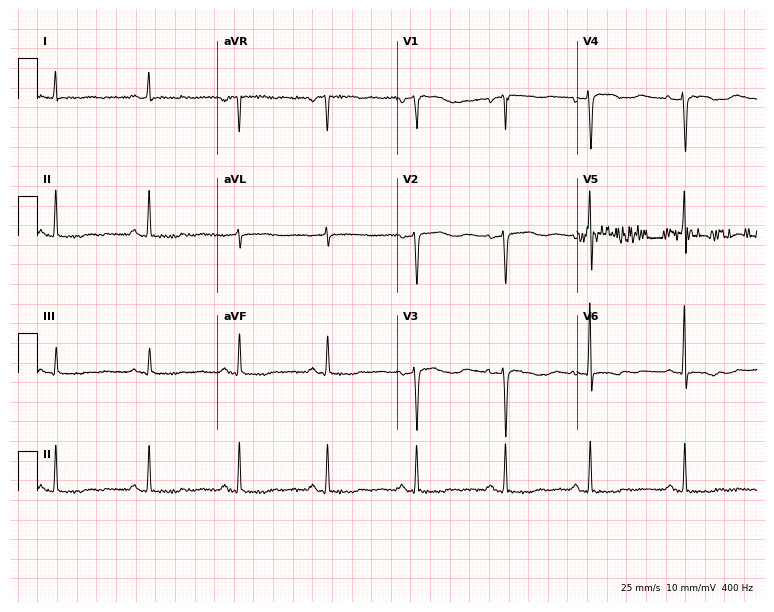
ECG — a woman, 50 years old. Labelled as a normal ECG.